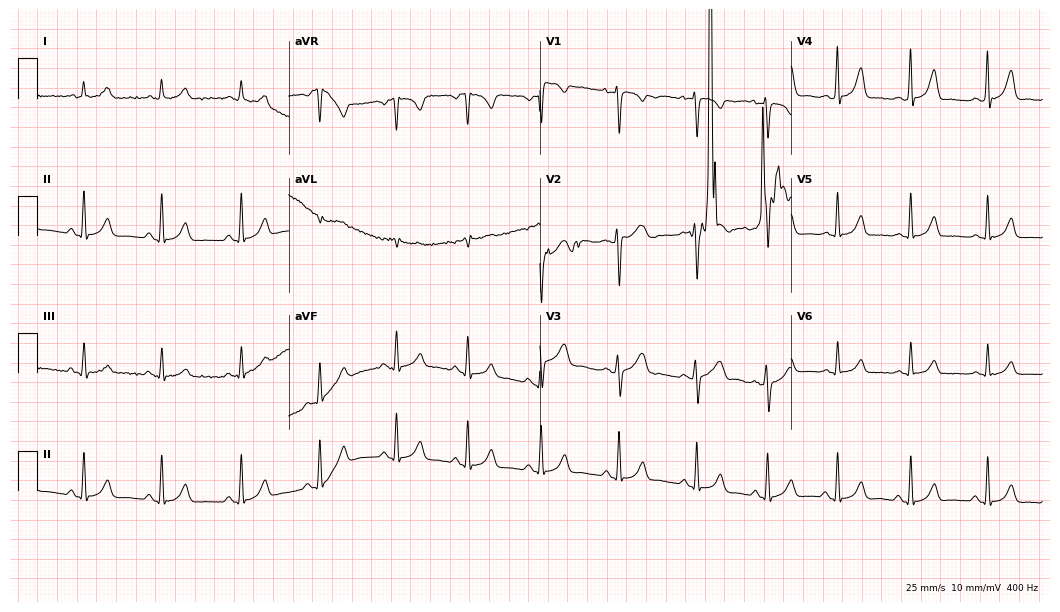
ECG (10.2-second recording at 400 Hz) — a female patient, 32 years old. Screened for six findings — first-degree AV block, right bundle branch block, left bundle branch block, sinus bradycardia, atrial fibrillation, sinus tachycardia — none is recorded.